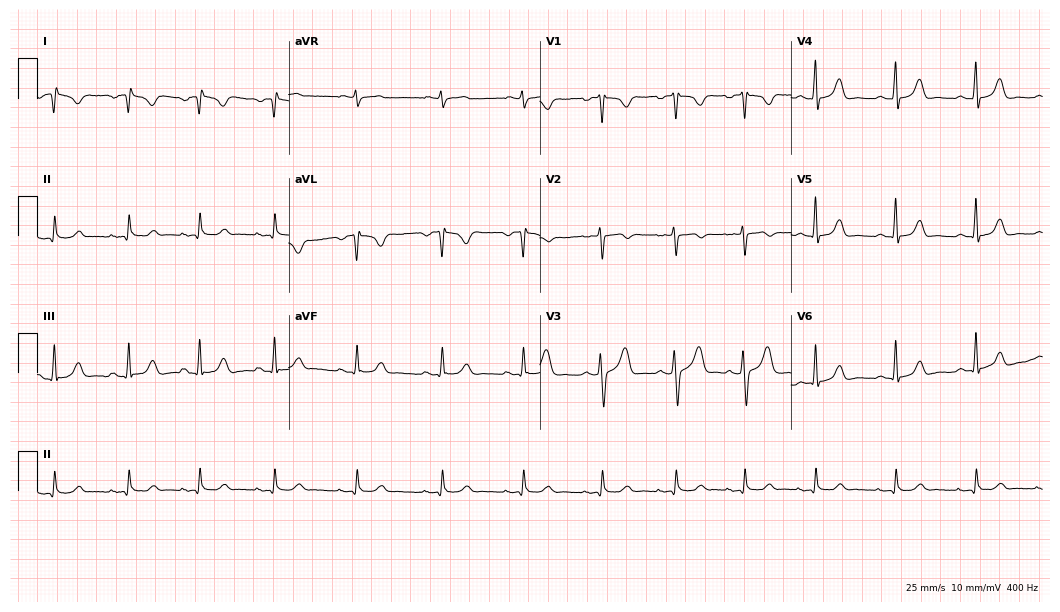
Resting 12-lead electrocardiogram (10.2-second recording at 400 Hz). Patient: a female, 23 years old. None of these six findings is recorded: first-degree AV block, right bundle branch block, left bundle branch block, sinus bradycardia, atrial fibrillation, sinus tachycardia.